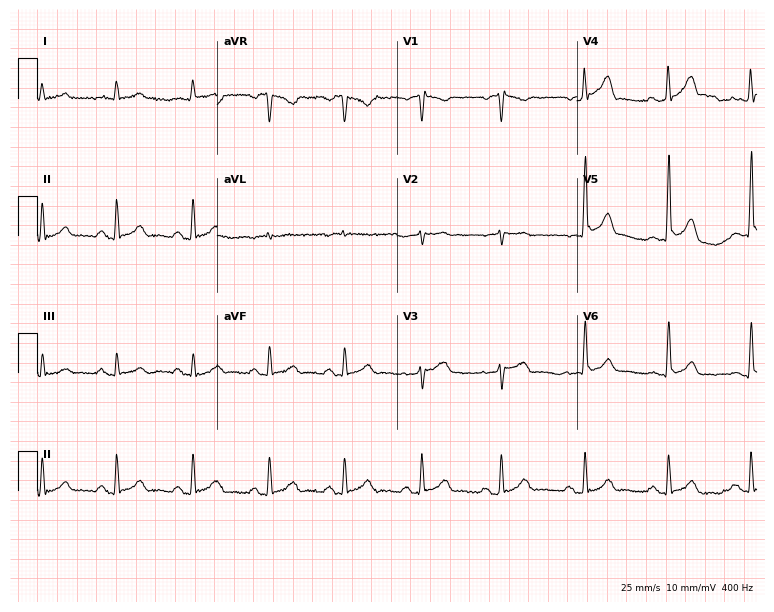
Standard 12-lead ECG recorded from a male, 47 years old (7.3-second recording at 400 Hz). None of these six findings is recorded: first-degree AV block, right bundle branch block, left bundle branch block, sinus bradycardia, atrial fibrillation, sinus tachycardia.